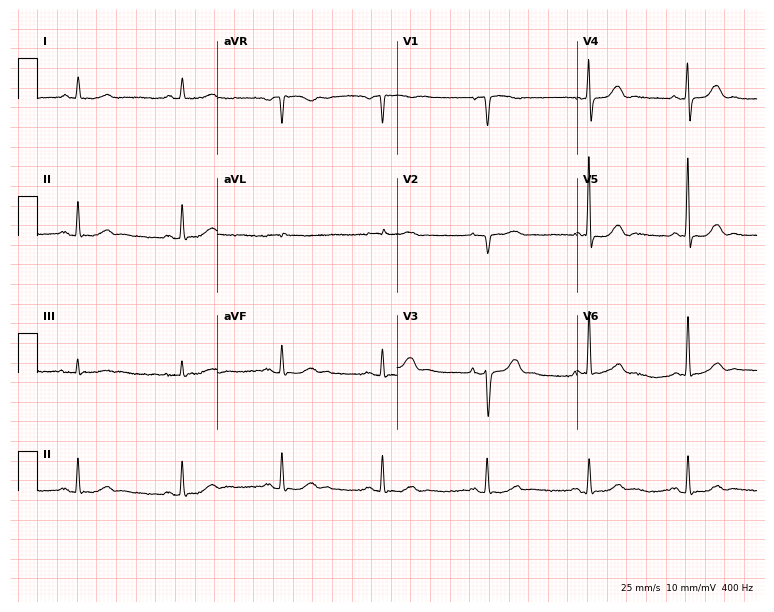
Standard 12-lead ECG recorded from a man, 62 years old. None of these six findings is recorded: first-degree AV block, right bundle branch block (RBBB), left bundle branch block (LBBB), sinus bradycardia, atrial fibrillation (AF), sinus tachycardia.